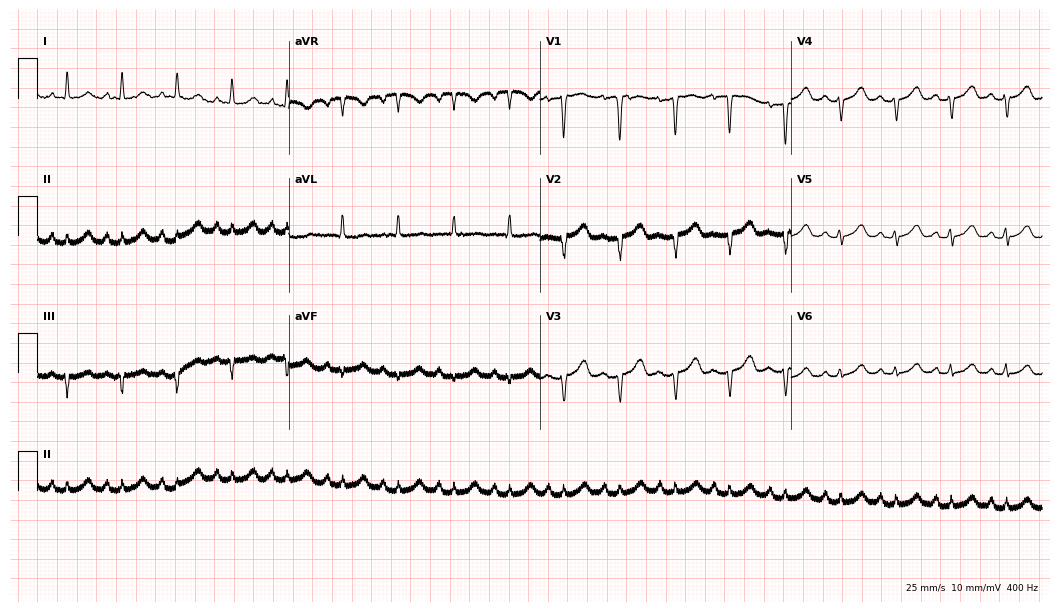
Electrocardiogram (10.2-second recording at 400 Hz), a 57-year-old woman. Of the six screened findings (first-degree AV block, right bundle branch block, left bundle branch block, sinus bradycardia, atrial fibrillation, sinus tachycardia), none is recorded.